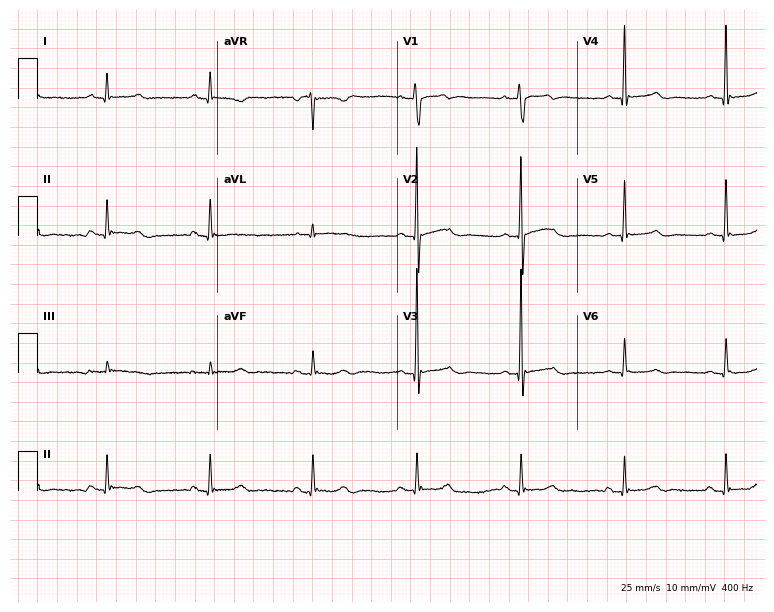
Electrocardiogram, a 66-year-old male patient. Of the six screened findings (first-degree AV block, right bundle branch block (RBBB), left bundle branch block (LBBB), sinus bradycardia, atrial fibrillation (AF), sinus tachycardia), none is recorded.